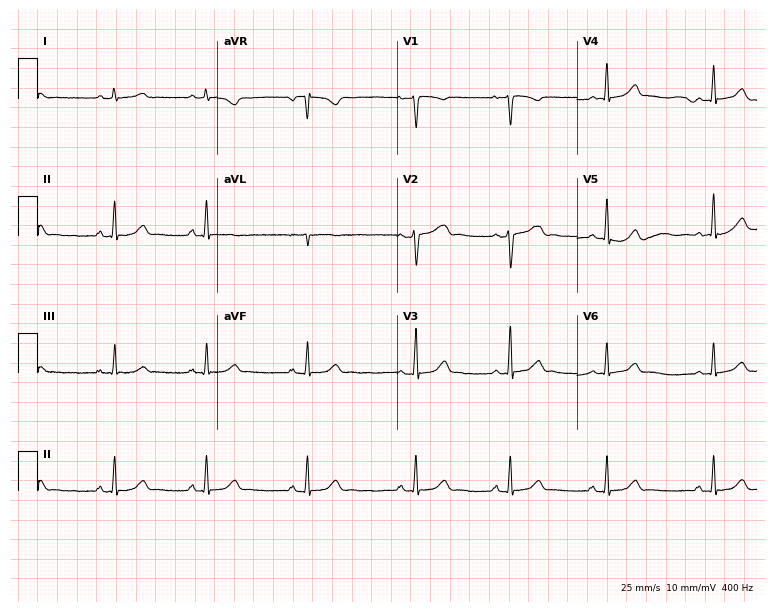
Electrocardiogram, a female patient, 31 years old. Overall reading on record: normal ECG.